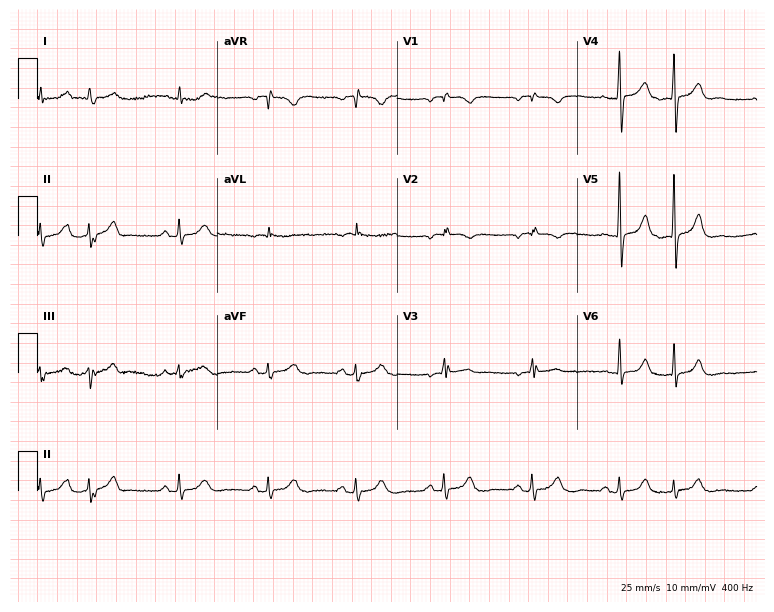
Standard 12-lead ECG recorded from a 79-year-old male (7.3-second recording at 400 Hz). None of these six findings is recorded: first-degree AV block, right bundle branch block, left bundle branch block, sinus bradycardia, atrial fibrillation, sinus tachycardia. Findings outside these six are not listed.